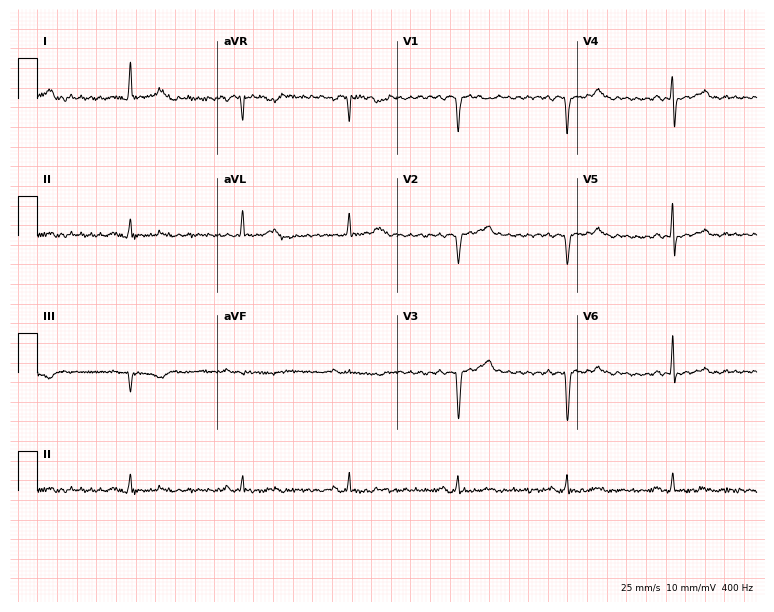
Electrocardiogram, a woman, 77 years old. Of the six screened findings (first-degree AV block, right bundle branch block (RBBB), left bundle branch block (LBBB), sinus bradycardia, atrial fibrillation (AF), sinus tachycardia), none is recorded. Other findings, if any, are not listed.